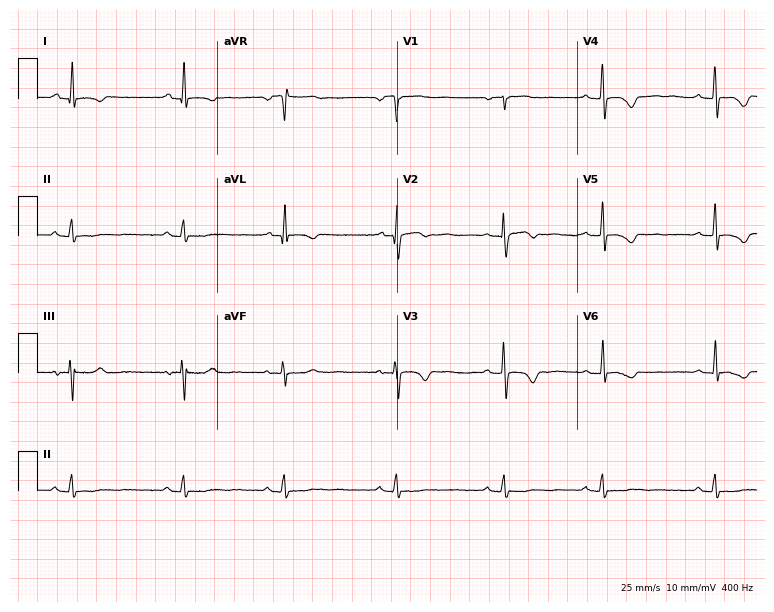
Standard 12-lead ECG recorded from a 24-year-old female patient (7.3-second recording at 400 Hz). None of these six findings is recorded: first-degree AV block, right bundle branch block, left bundle branch block, sinus bradycardia, atrial fibrillation, sinus tachycardia.